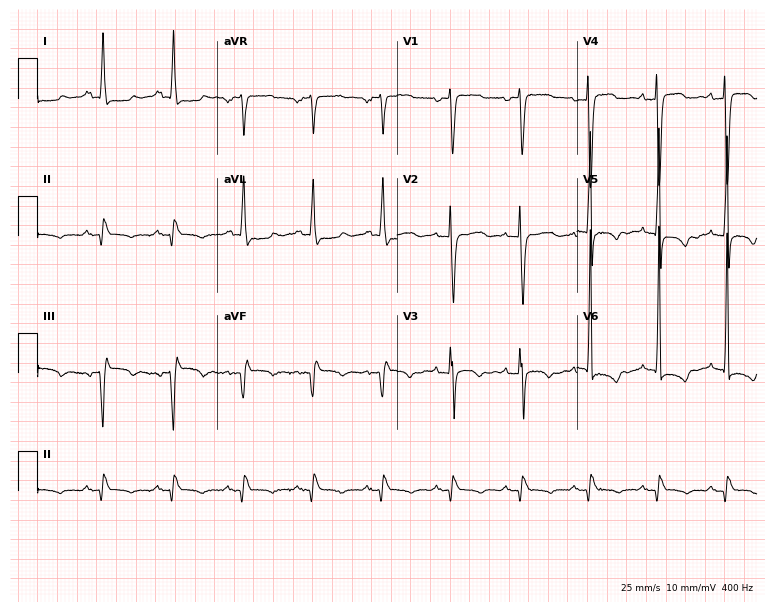
12-lead ECG from a 56-year-old male. Screened for six findings — first-degree AV block, right bundle branch block, left bundle branch block, sinus bradycardia, atrial fibrillation, sinus tachycardia — none is recorded.